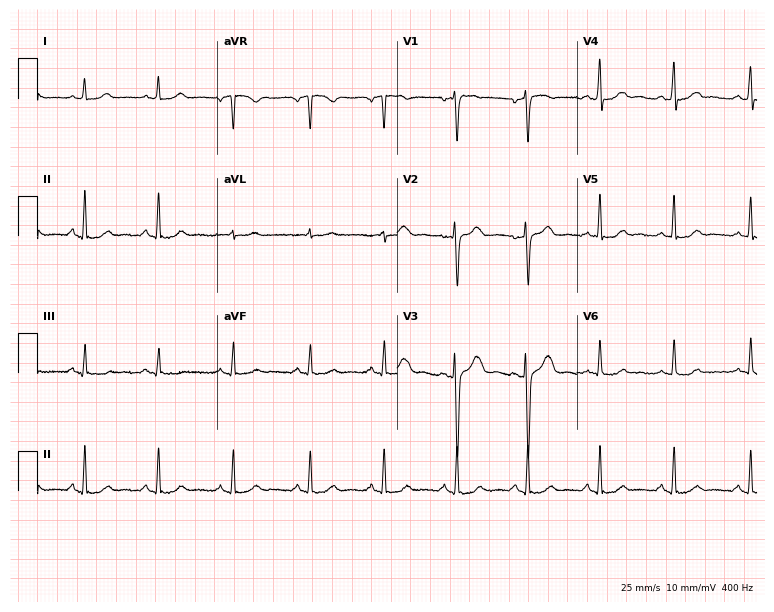
Resting 12-lead electrocardiogram. Patient: a 34-year-old female. Read as a normal ECG.